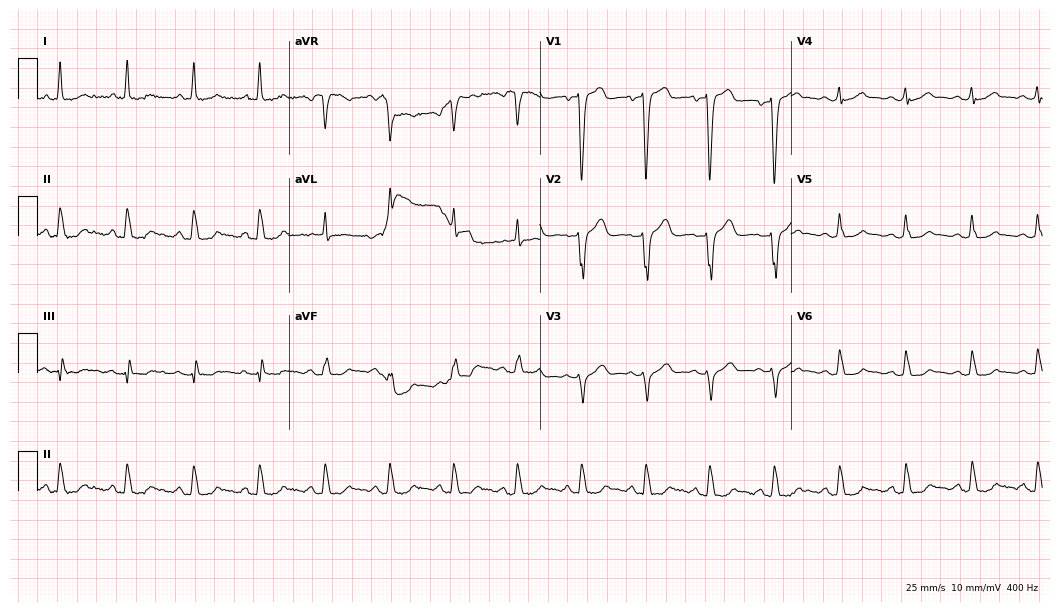
ECG (10.2-second recording at 400 Hz) — a 52-year-old male. Screened for six findings — first-degree AV block, right bundle branch block, left bundle branch block, sinus bradycardia, atrial fibrillation, sinus tachycardia — none is recorded. Findings outside these six are not listed.